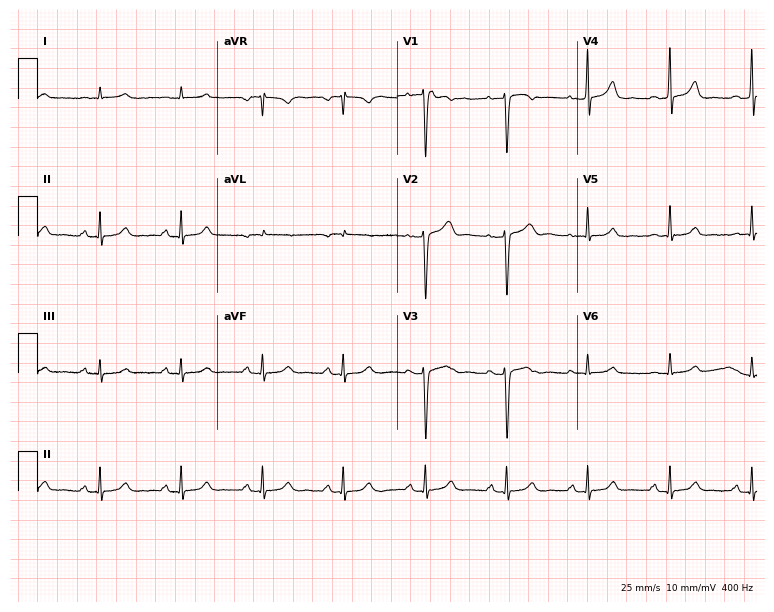
ECG — a female patient, 71 years old. Labelled as a normal ECG.